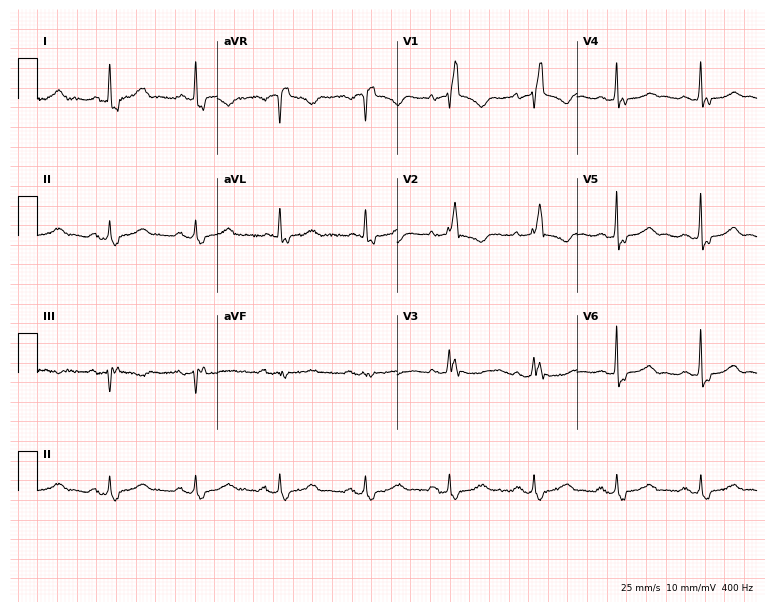
Standard 12-lead ECG recorded from a female, 79 years old (7.3-second recording at 400 Hz). The tracing shows right bundle branch block.